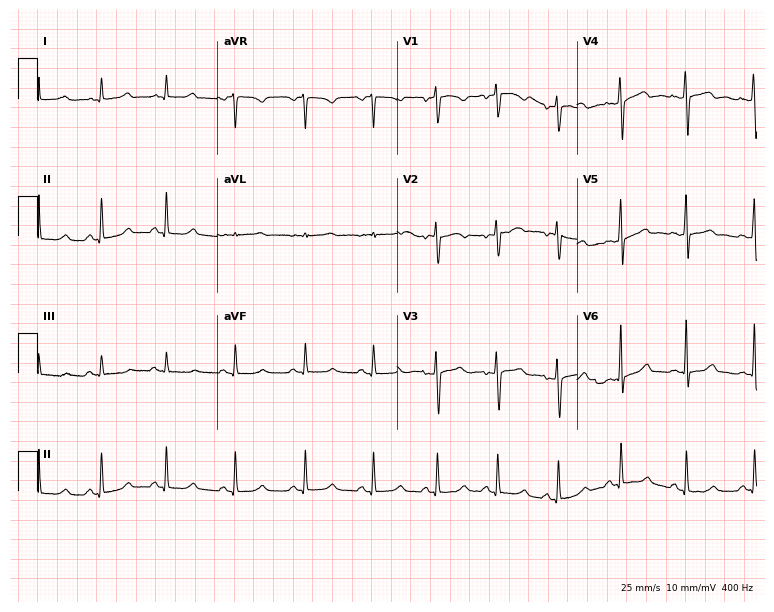
Standard 12-lead ECG recorded from a woman, 31 years old. Read as a normal ECG.